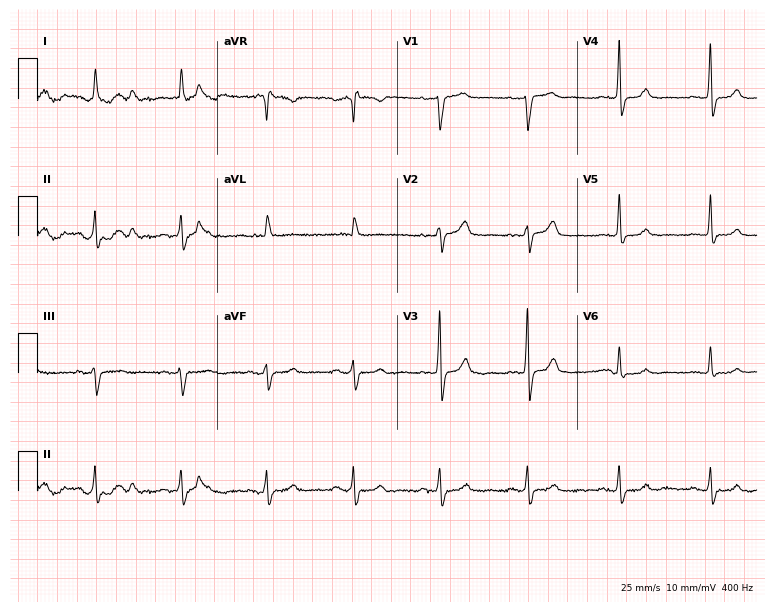
12-lead ECG from a 62-year-old man. Screened for six findings — first-degree AV block, right bundle branch block, left bundle branch block, sinus bradycardia, atrial fibrillation, sinus tachycardia — none is recorded. Other findings, if any, are not listed.